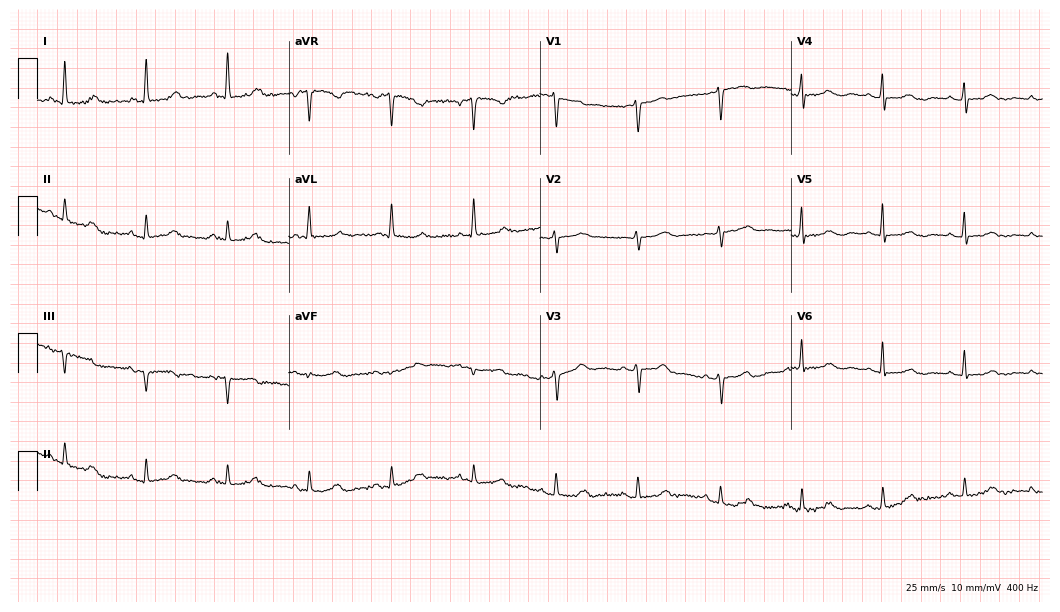
12-lead ECG from a 53-year-old female. Recorded interpretation: within normal limits.